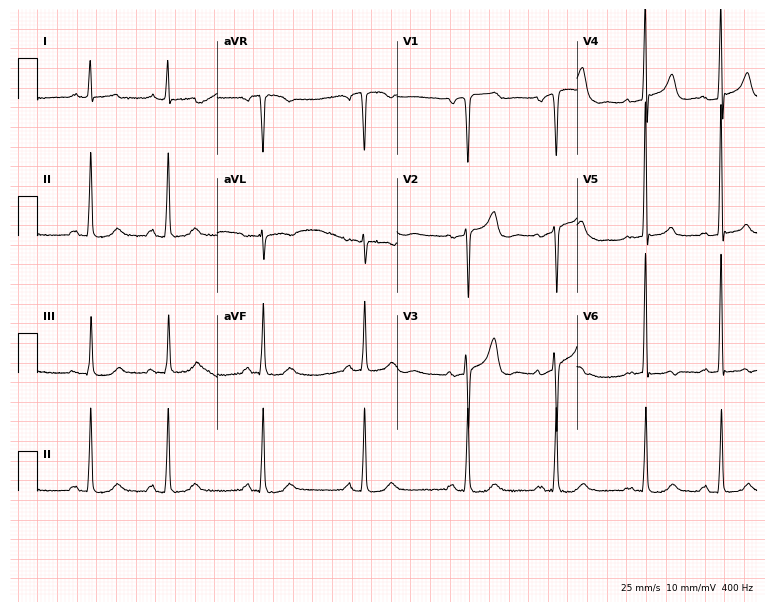
Electrocardiogram (7.3-second recording at 400 Hz), a 73-year-old man. Of the six screened findings (first-degree AV block, right bundle branch block (RBBB), left bundle branch block (LBBB), sinus bradycardia, atrial fibrillation (AF), sinus tachycardia), none is recorded. Only these six findings were labelled.